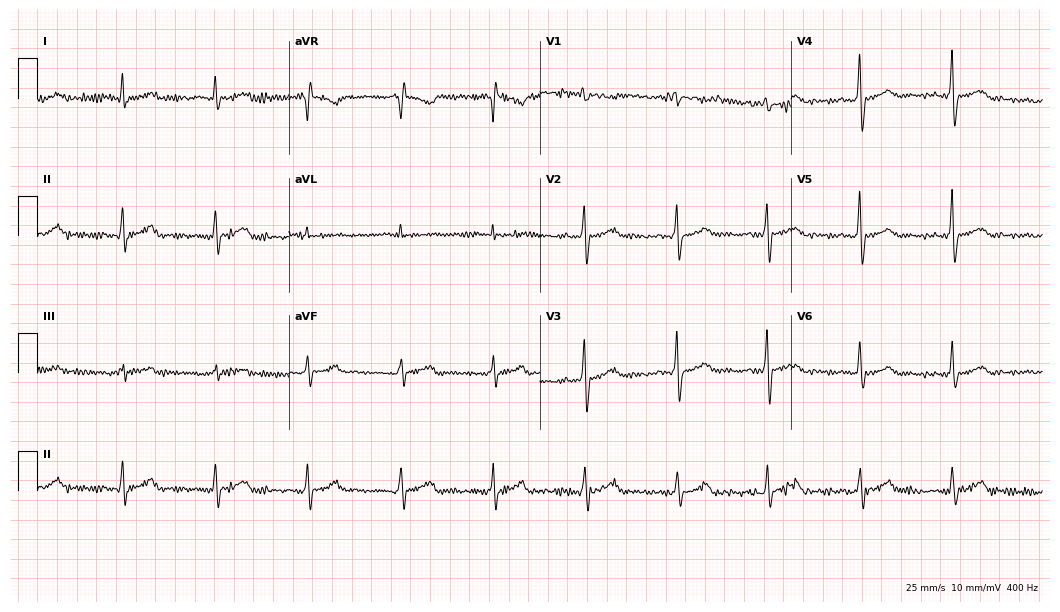
ECG (10.2-second recording at 400 Hz) — a female patient, 59 years old. Labelled as a normal ECG.